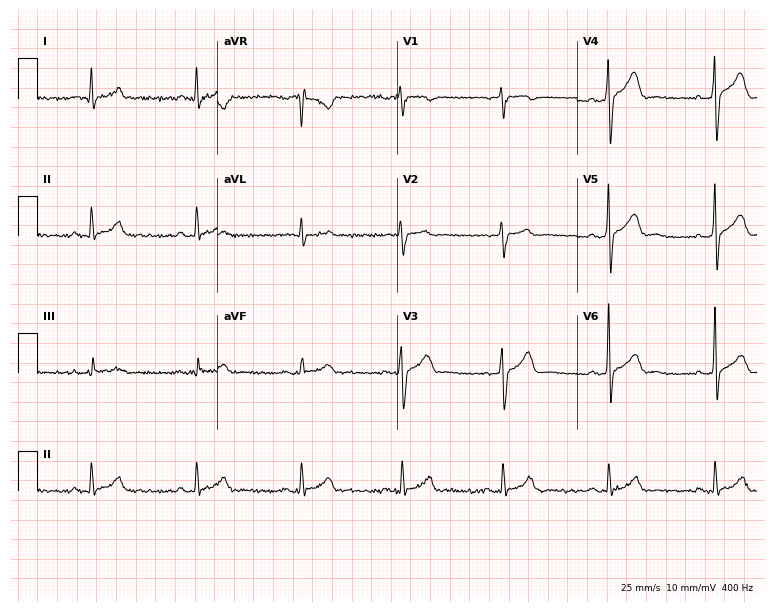
Standard 12-lead ECG recorded from a 33-year-old male patient. Read as a normal ECG.